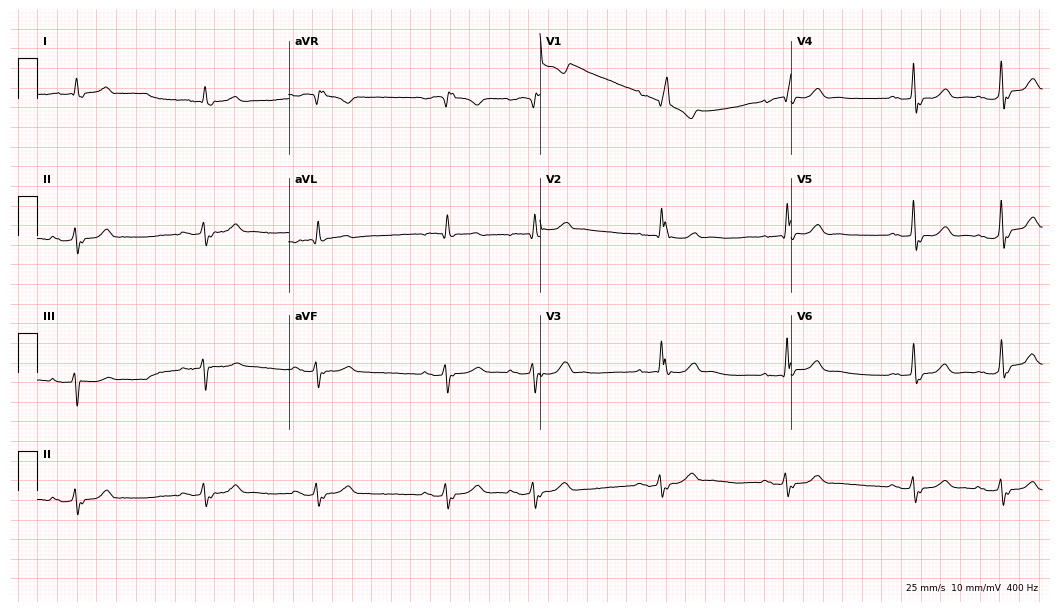
ECG — an 84-year-old male. Findings include first-degree AV block, right bundle branch block.